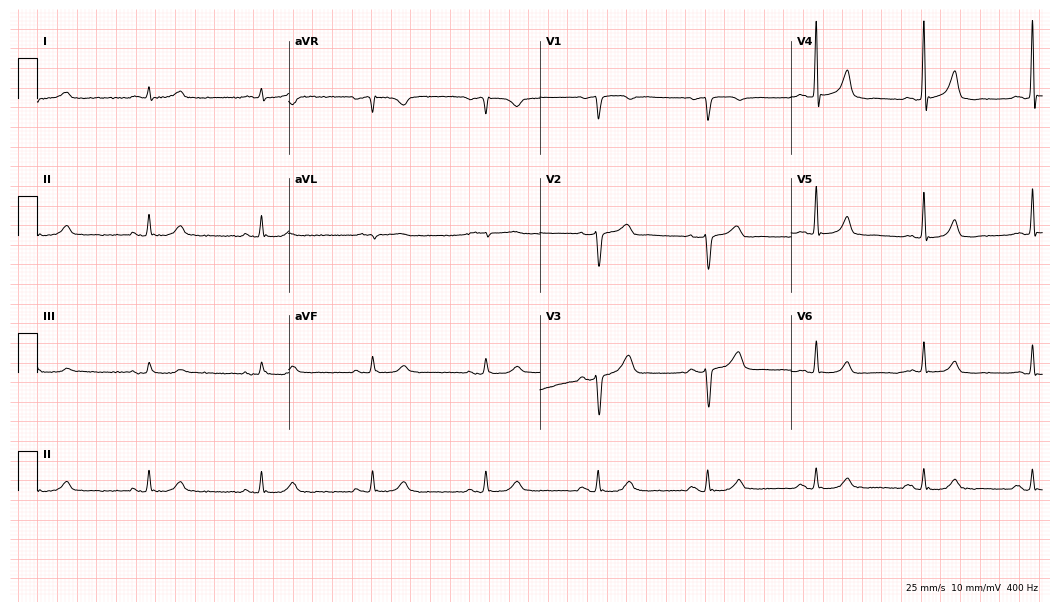
Resting 12-lead electrocardiogram. Patient: a 68-year-old male. Read as a normal ECG.